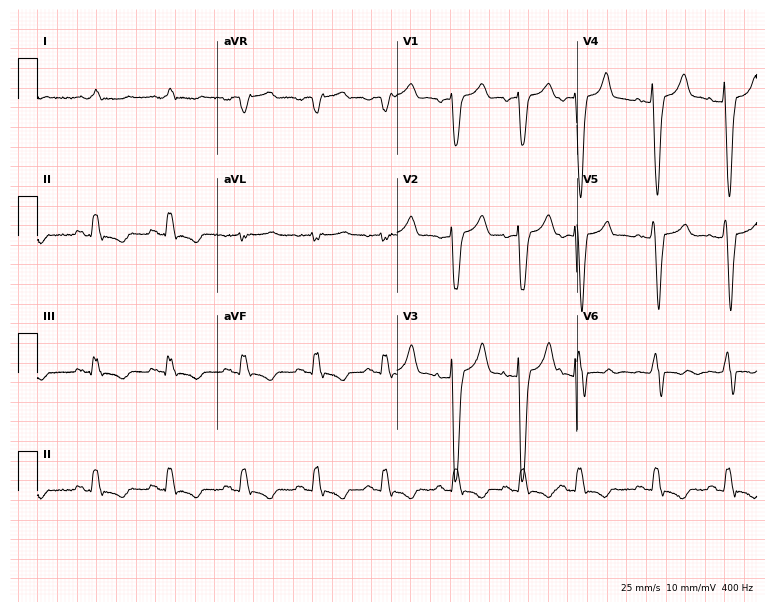
Electrocardiogram, an 83-year-old female. Interpretation includes left bundle branch block (LBBB).